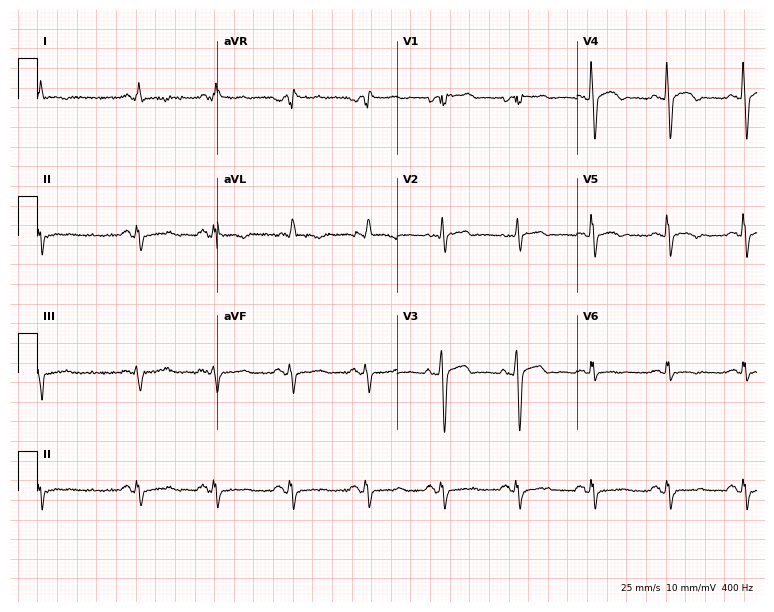
12-lead ECG (7.3-second recording at 400 Hz) from a female, 60 years old. Screened for six findings — first-degree AV block, right bundle branch block (RBBB), left bundle branch block (LBBB), sinus bradycardia, atrial fibrillation (AF), sinus tachycardia — none is recorded. Only these six findings were labelled.